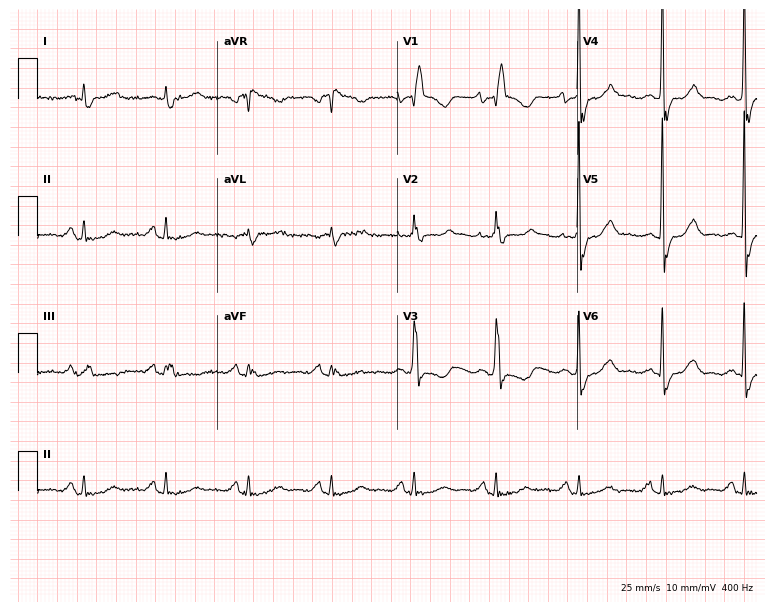
Standard 12-lead ECG recorded from a woman, 74 years old. The tracing shows right bundle branch block.